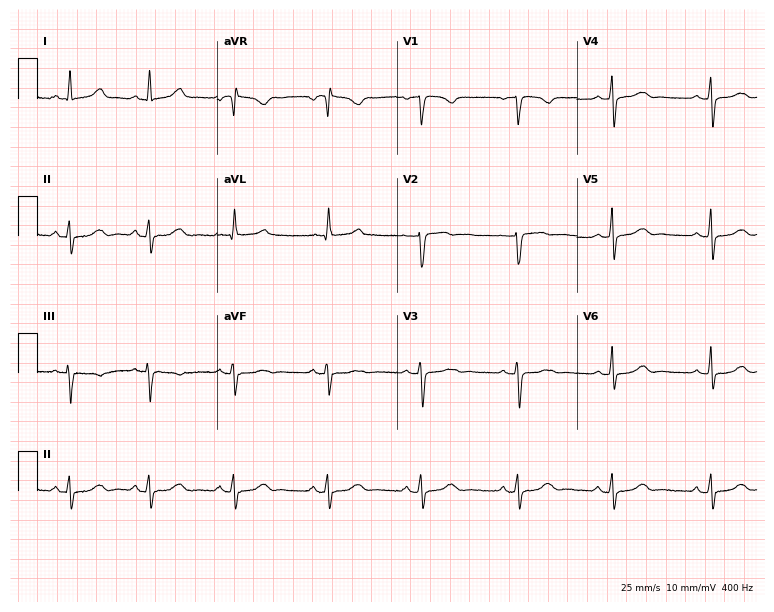
12-lead ECG from a female, 64 years old. Screened for six findings — first-degree AV block, right bundle branch block, left bundle branch block, sinus bradycardia, atrial fibrillation, sinus tachycardia — none is recorded. Other findings, if any, are not listed.